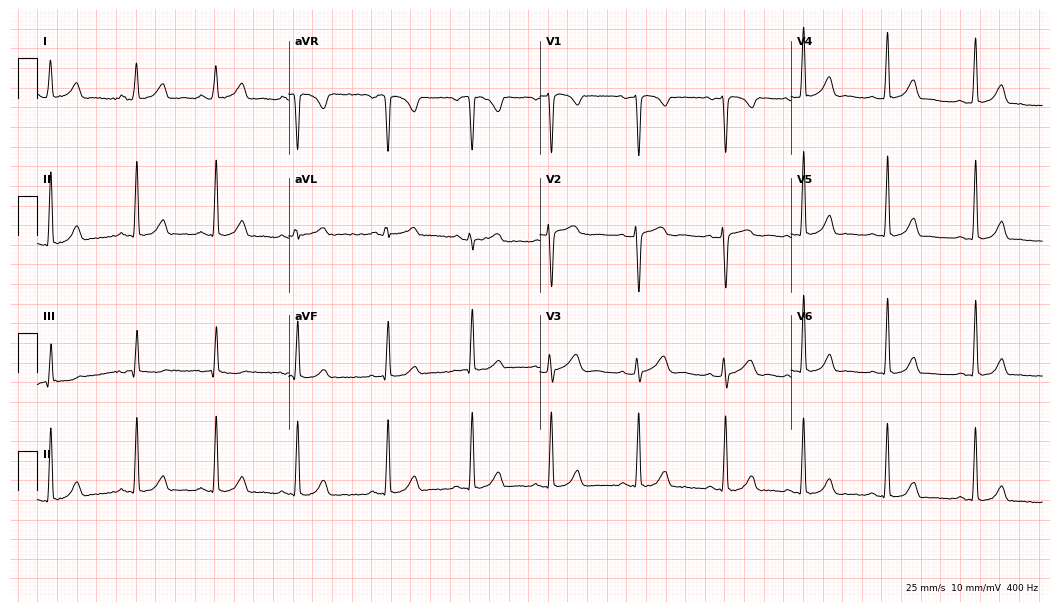
Electrocardiogram (10.2-second recording at 400 Hz), a female patient, 26 years old. Overall reading on record: normal ECG.